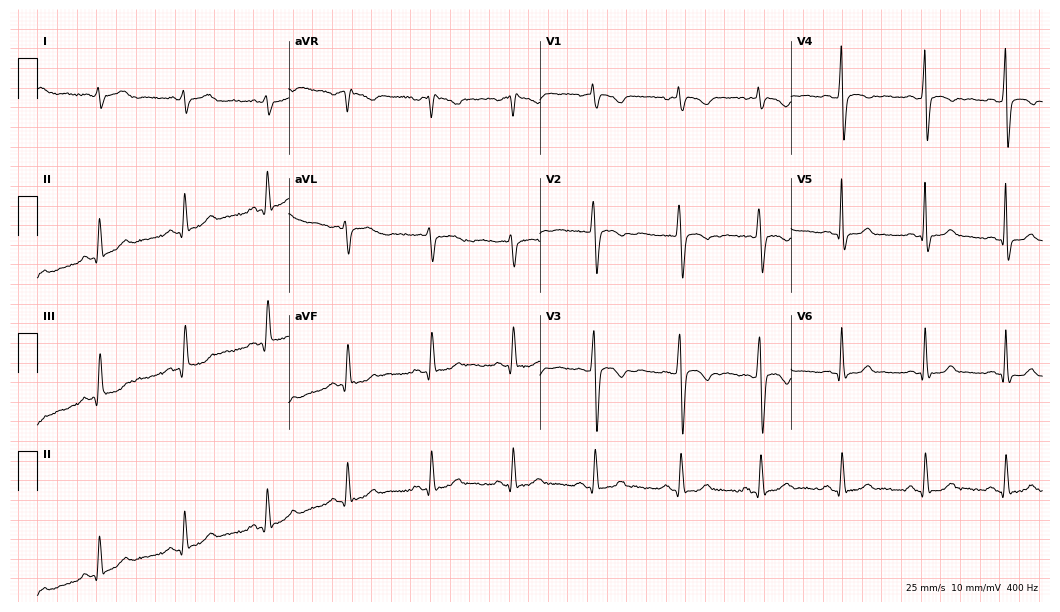
12-lead ECG from a 26-year-old female patient. Screened for six findings — first-degree AV block, right bundle branch block, left bundle branch block, sinus bradycardia, atrial fibrillation, sinus tachycardia — none is recorded. Only these six findings were labelled.